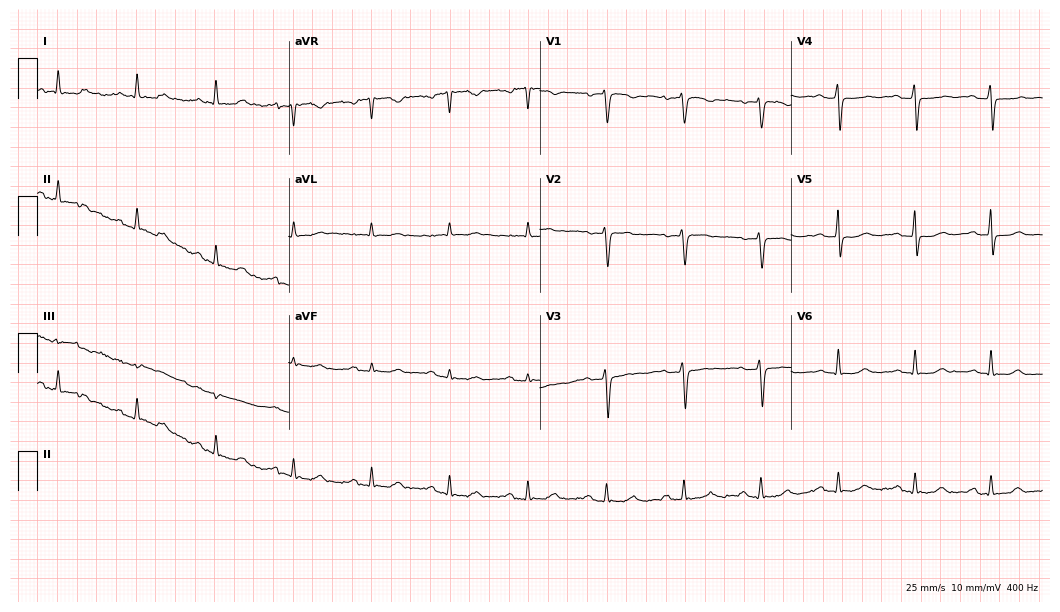
12-lead ECG from a female, 54 years old. Screened for six findings — first-degree AV block, right bundle branch block (RBBB), left bundle branch block (LBBB), sinus bradycardia, atrial fibrillation (AF), sinus tachycardia — none is recorded.